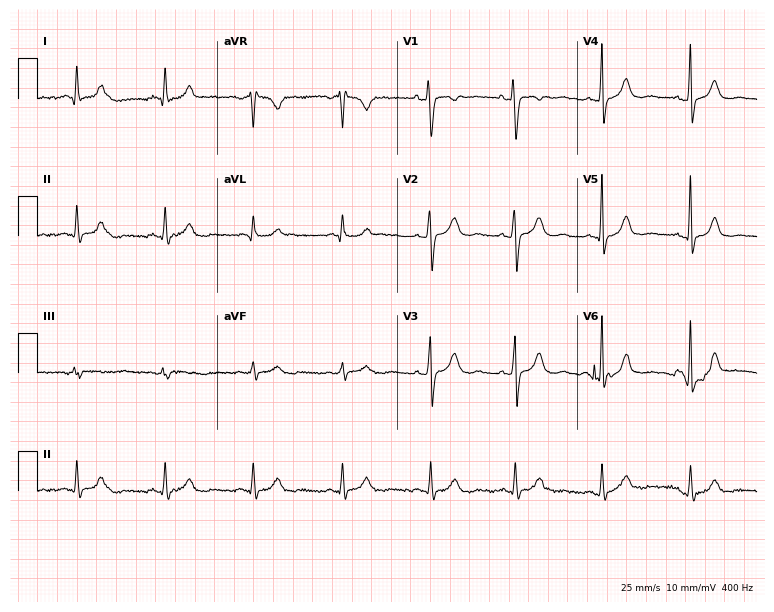
Electrocardiogram (7.3-second recording at 400 Hz), a 44-year-old female patient. Overall reading on record: normal ECG.